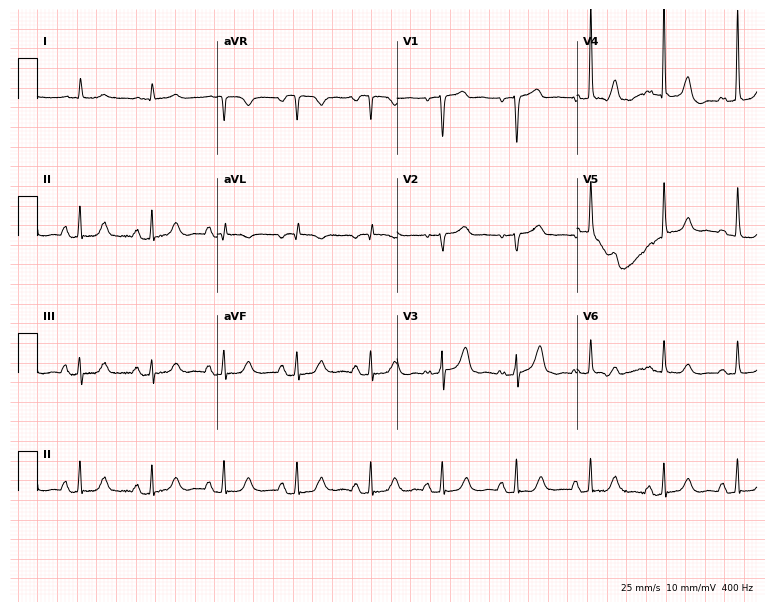
12-lead ECG from a woman, 78 years old (7.3-second recording at 400 Hz). Recorded interpretation: within normal limits.